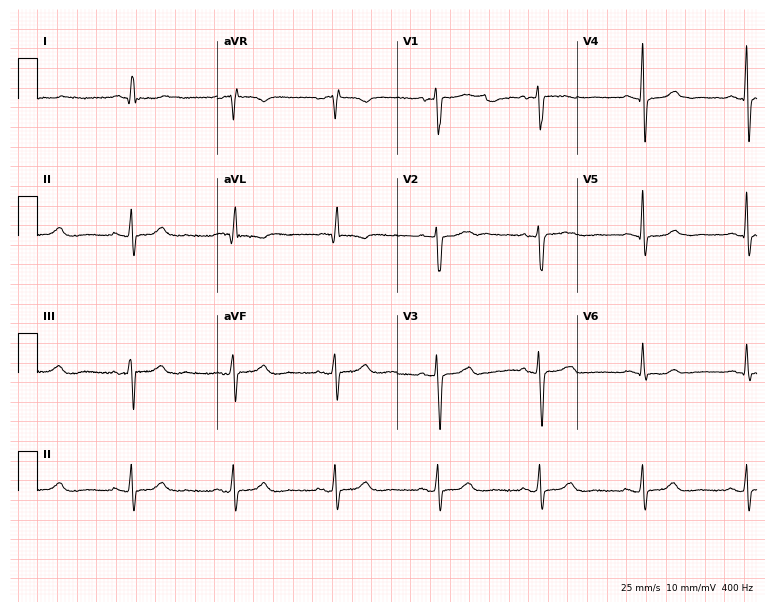
12-lead ECG from a man, 65 years old. Screened for six findings — first-degree AV block, right bundle branch block, left bundle branch block, sinus bradycardia, atrial fibrillation, sinus tachycardia — none is recorded.